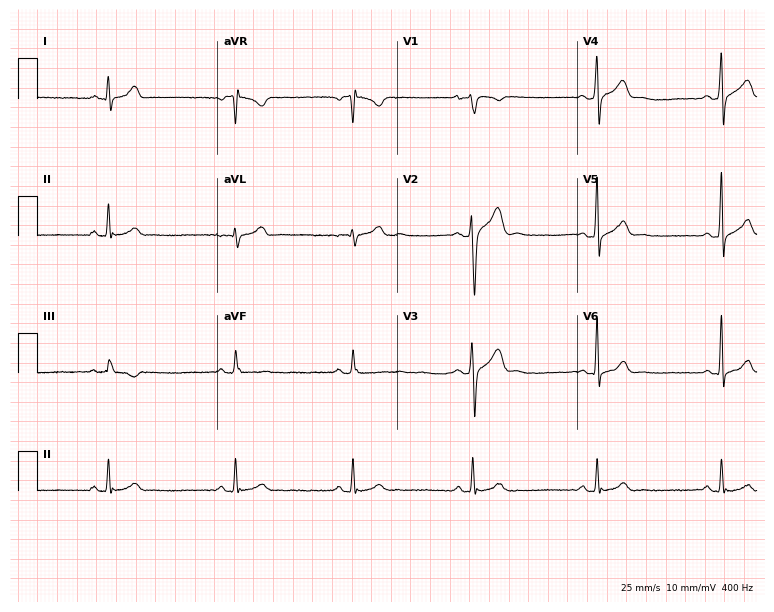
Resting 12-lead electrocardiogram. Patient: a male, 37 years old. The tracing shows sinus bradycardia (a sinus rate of 50 beats per minute or less).